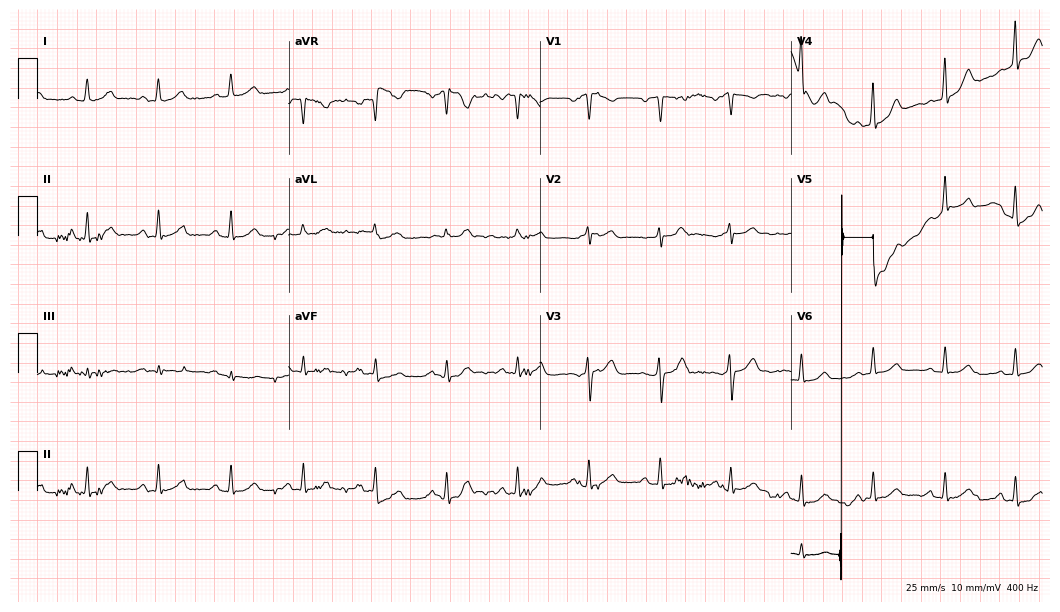
Resting 12-lead electrocardiogram. Patient: a female, 56 years old. None of these six findings is recorded: first-degree AV block, right bundle branch block, left bundle branch block, sinus bradycardia, atrial fibrillation, sinus tachycardia.